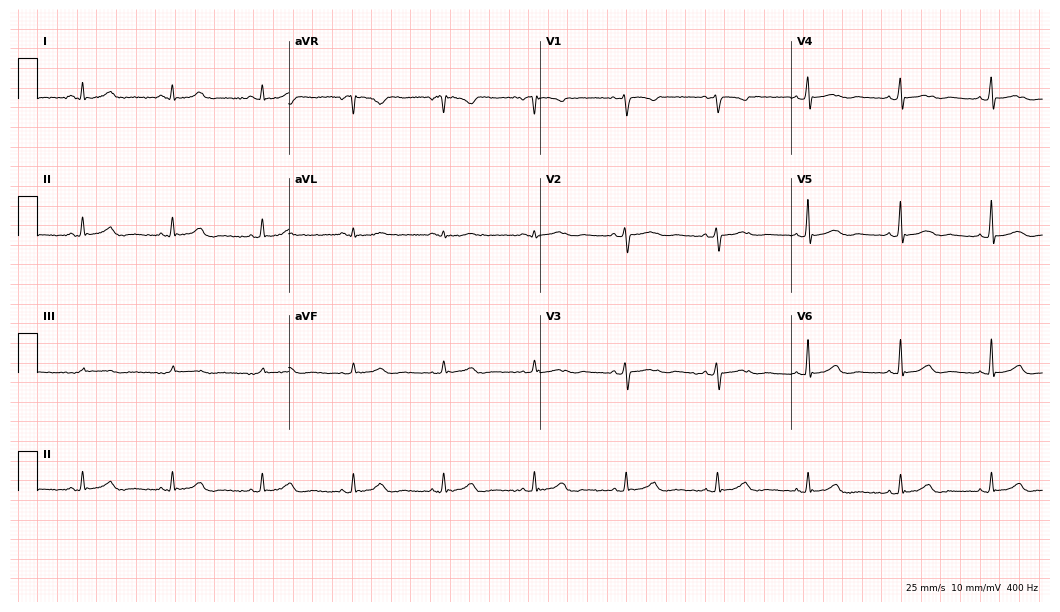
12-lead ECG (10.2-second recording at 400 Hz) from a 47-year-old woman. Labelled as a normal ECG.